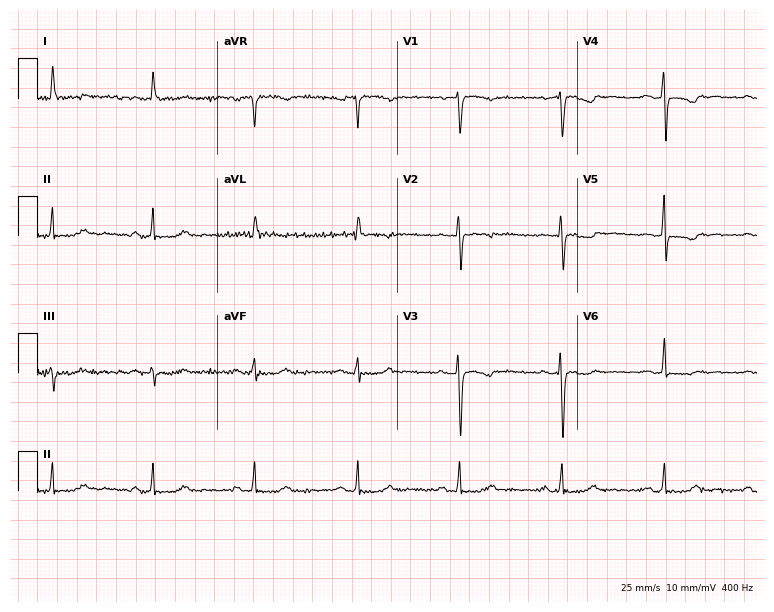
Resting 12-lead electrocardiogram. Patient: a woman, 55 years old. None of these six findings is recorded: first-degree AV block, right bundle branch block, left bundle branch block, sinus bradycardia, atrial fibrillation, sinus tachycardia. Findings outside these six are not listed.